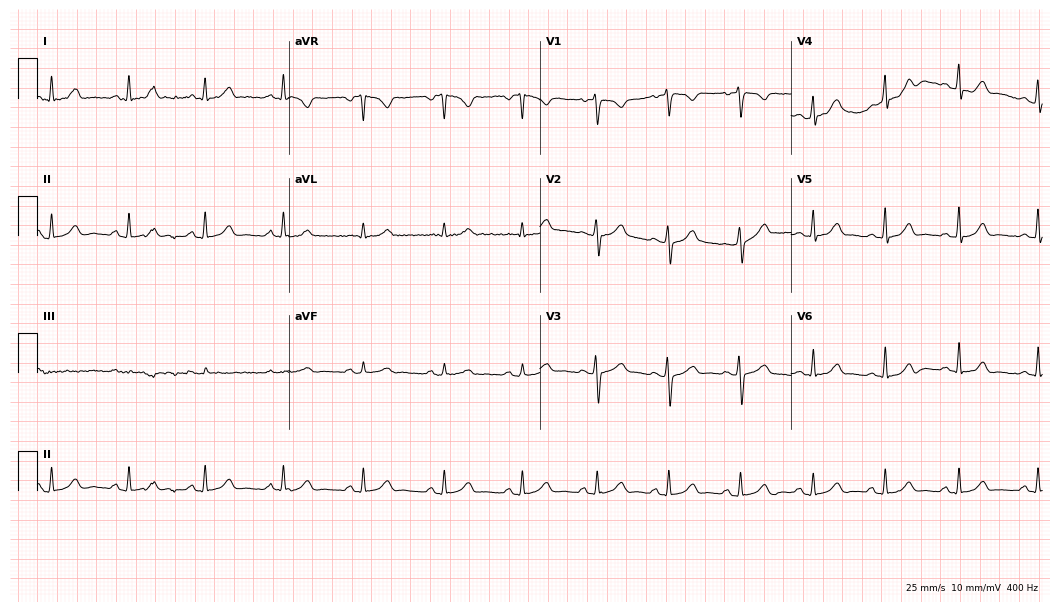
12-lead ECG from a female patient, 23 years old (10.2-second recording at 400 Hz). No first-degree AV block, right bundle branch block, left bundle branch block, sinus bradycardia, atrial fibrillation or sinus tachycardia recorded for this tracing. Findings outside these six are not listed.